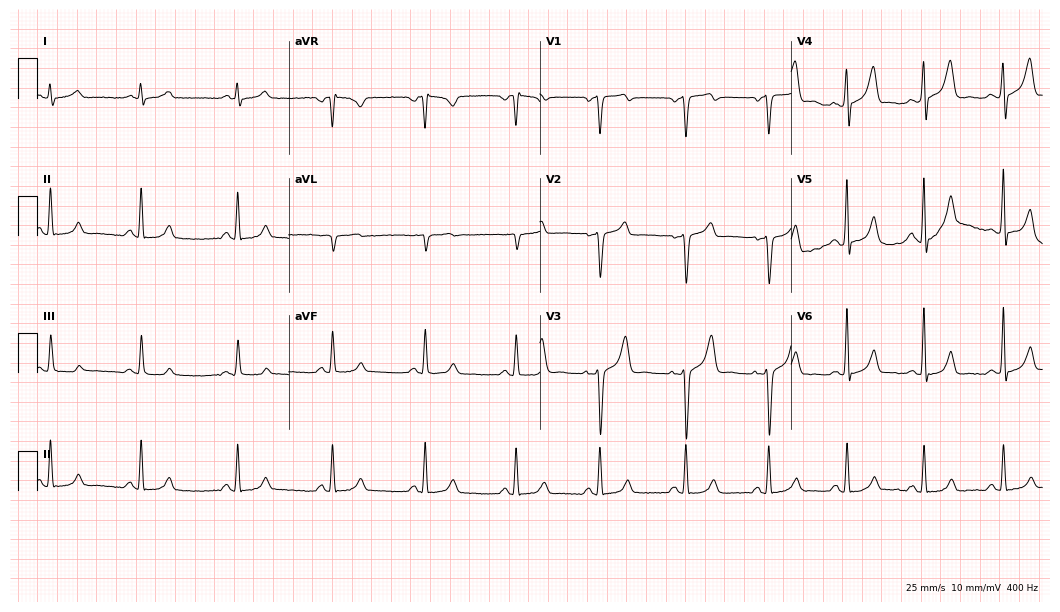
12-lead ECG (10.2-second recording at 400 Hz) from a male patient, 61 years old. Screened for six findings — first-degree AV block, right bundle branch block (RBBB), left bundle branch block (LBBB), sinus bradycardia, atrial fibrillation (AF), sinus tachycardia — none is recorded. Only these six findings were labelled.